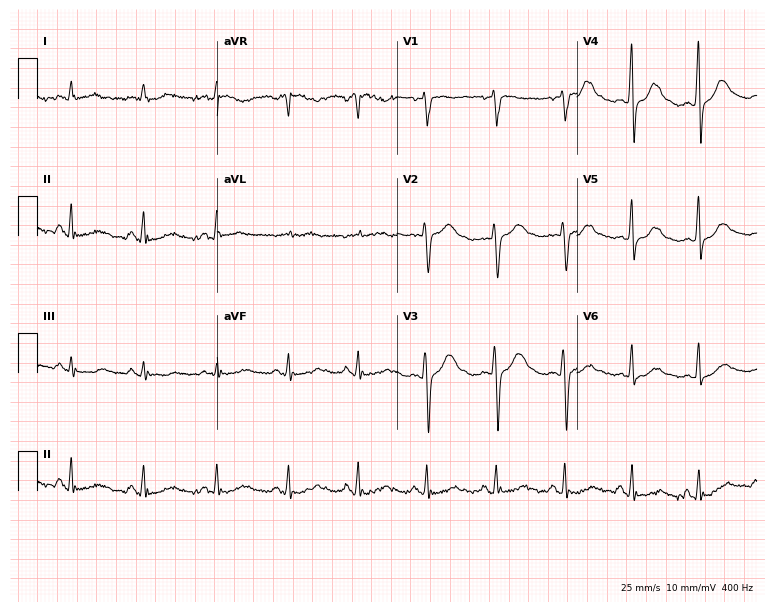
12-lead ECG from a woman, 49 years old. No first-degree AV block, right bundle branch block (RBBB), left bundle branch block (LBBB), sinus bradycardia, atrial fibrillation (AF) or sinus tachycardia recorded for this tracing. Findings outside these six are not listed.